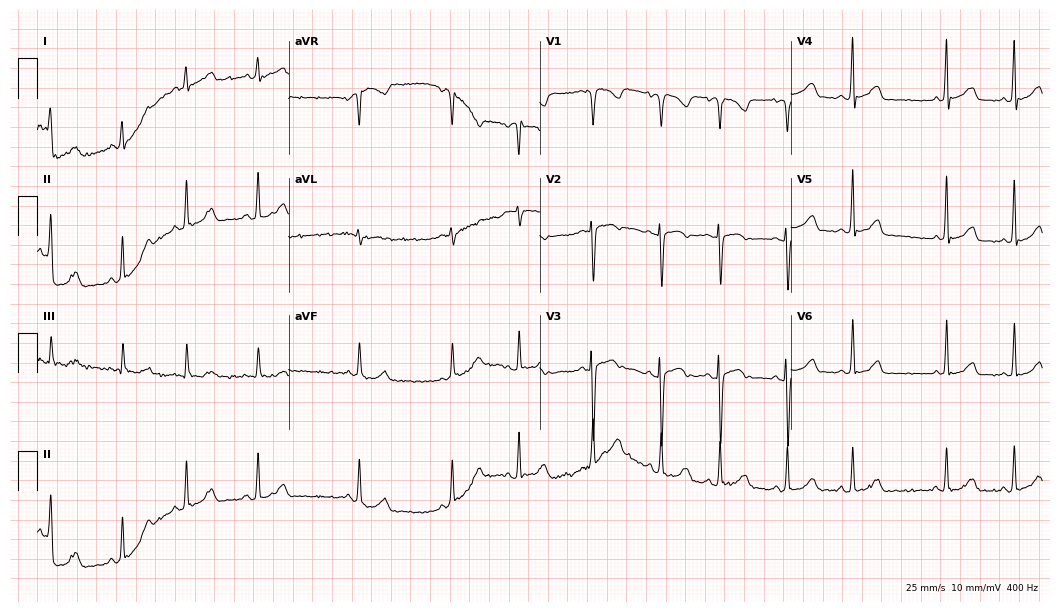
Standard 12-lead ECG recorded from a 67-year-old woman. Read as a normal ECG.